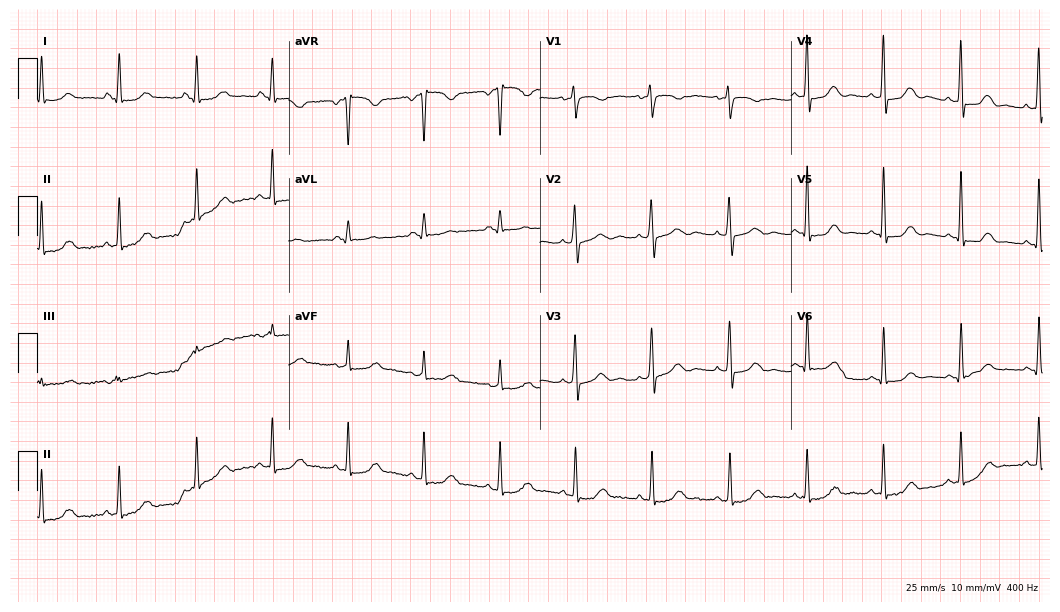
ECG — a woman, 46 years old. Screened for six findings — first-degree AV block, right bundle branch block, left bundle branch block, sinus bradycardia, atrial fibrillation, sinus tachycardia — none is recorded.